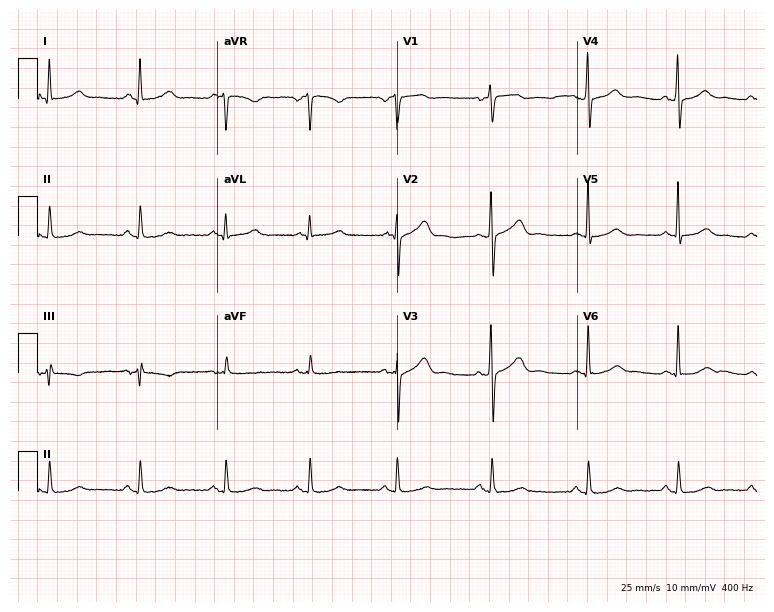
12-lead ECG from a woman, 47 years old. Labelled as a normal ECG.